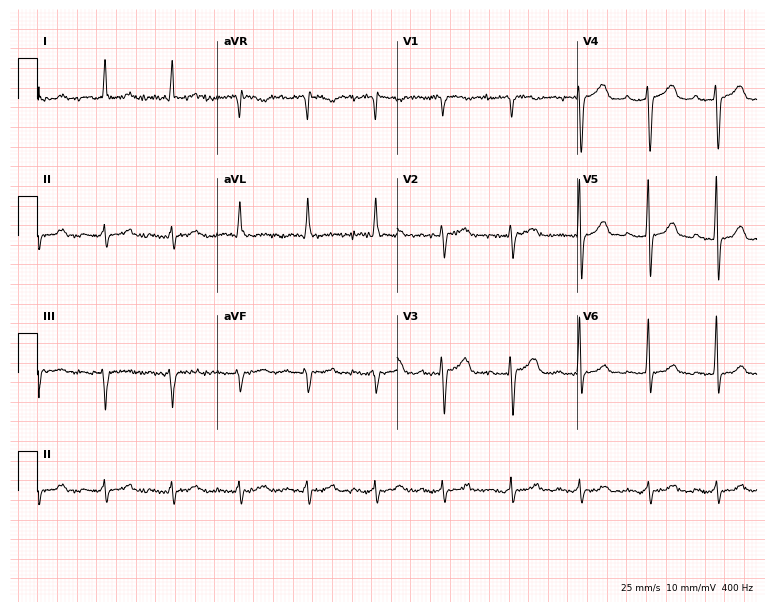
12-lead ECG from an 83-year-old female. Recorded interpretation: within normal limits.